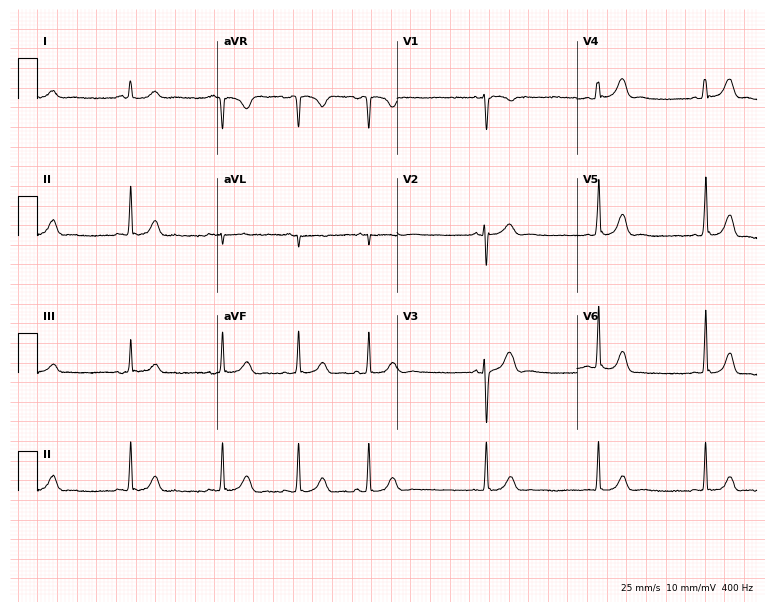
12-lead ECG from a female, 18 years old. Labelled as a normal ECG.